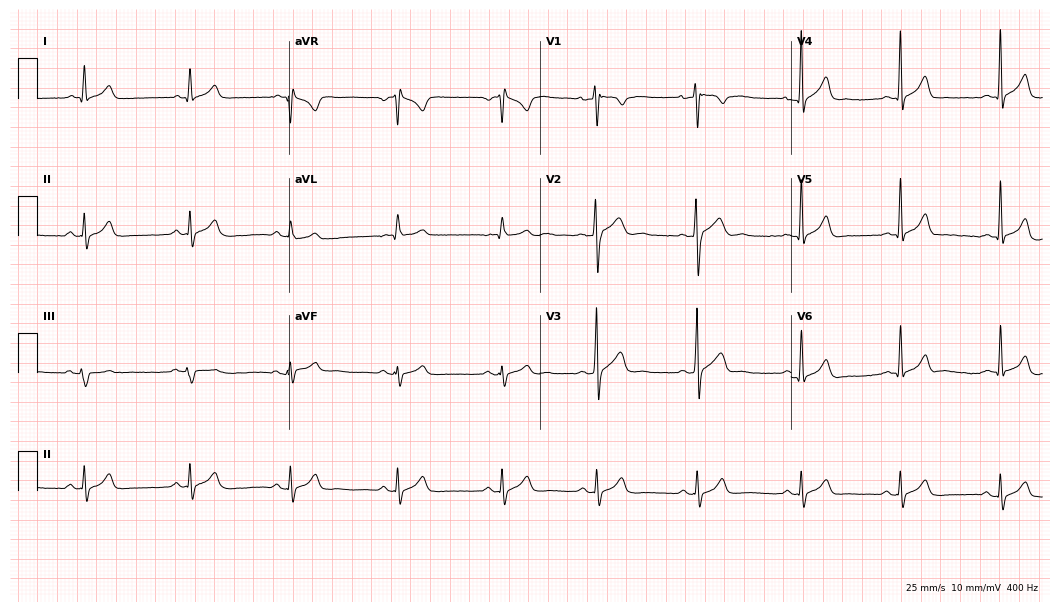
12-lead ECG from a male patient, 19 years old. Labelled as a normal ECG.